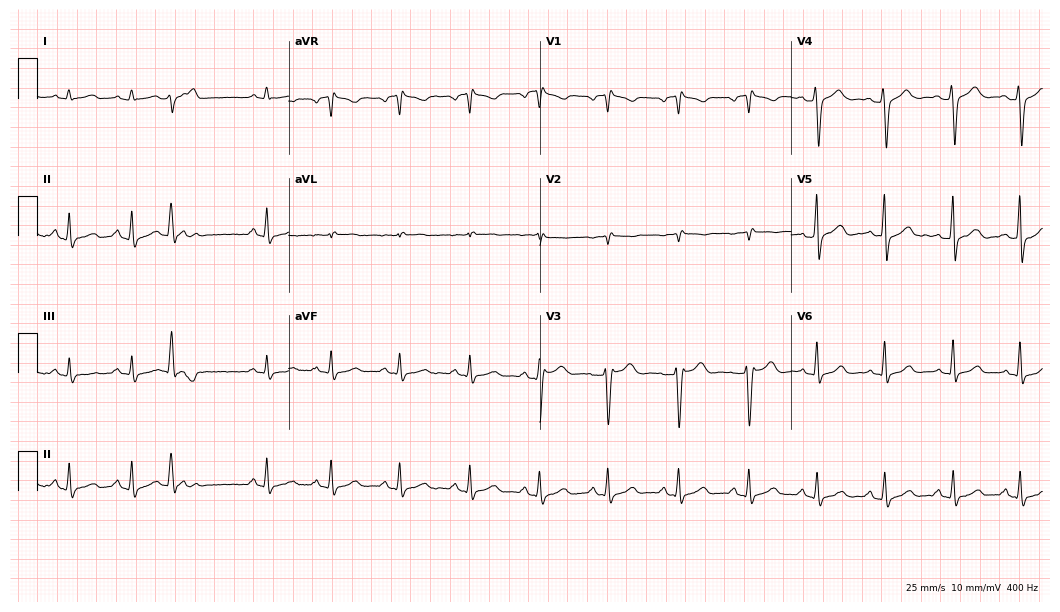
Electrocardiogram (10.2-second recording at 400 Hz), a female patient, 46 years old. Of the six screened findings (first-degree AV block, right bundle branch block, left bundle branch block, sinus bradycardia, atrial fibrillation, sinus tachycardia), none is recorded. Only these six findings were labelled.